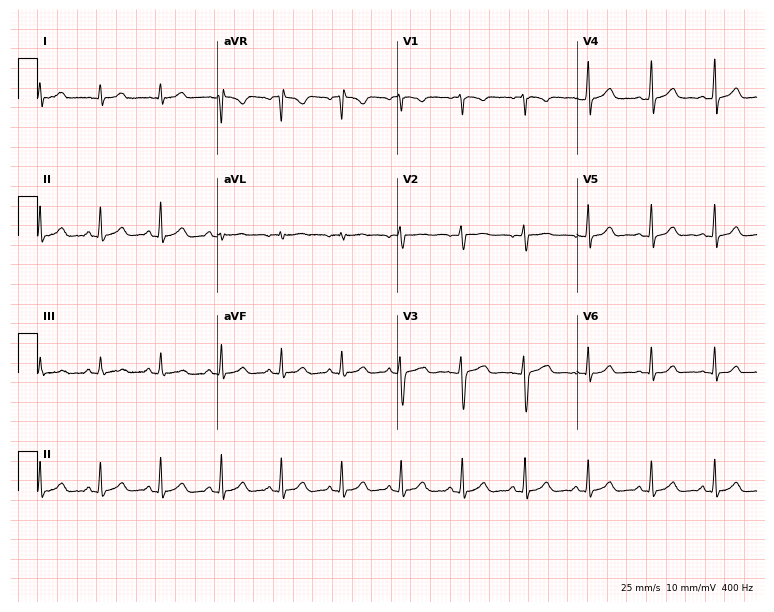
Electrocardiogram (7.3-second recording at 400 Hz), a female patient, 19 years old. Overall reading on record: normal ECG.